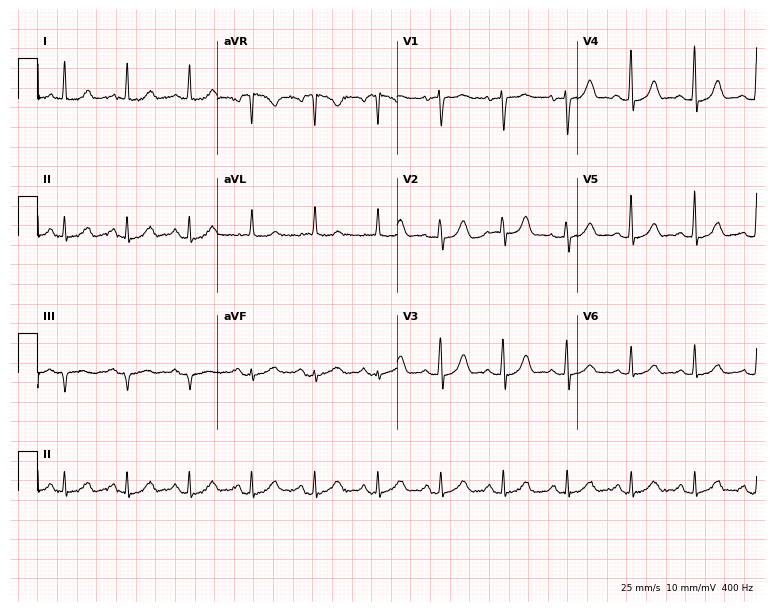
Electrocardiogram (7.3-second recording at 400 Hz), a 48-year-old female. Of the six screened findings (first-degree AV block, right bundle branch block (RBBB), left bundle branch block (LBBB), sinus bradycardia, atrial fibrillation (AF), sinus tachycardia), none is recorded. Findings outside these six are not listed.